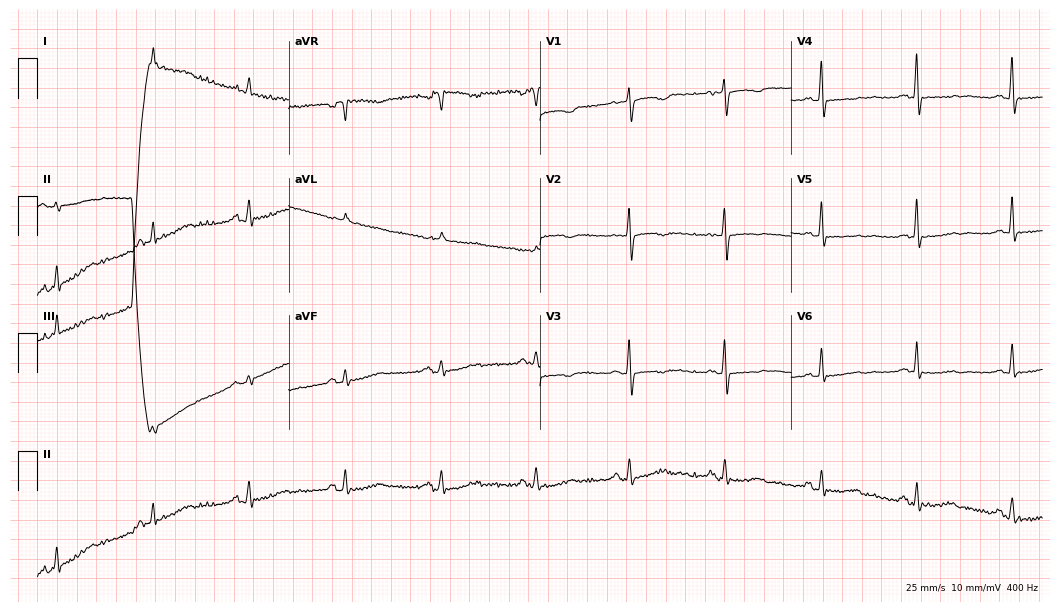
12-lead ECG (10.2-second recording at 400 Hz) from a 73-year-old woman. Screened for six findings — first-degree AV block, right bundle branch block, left bundle branch block, sinus bradycardia, atrial fibrillation, sinus tachycardia — none is recorded. Only these six findings were labelled.